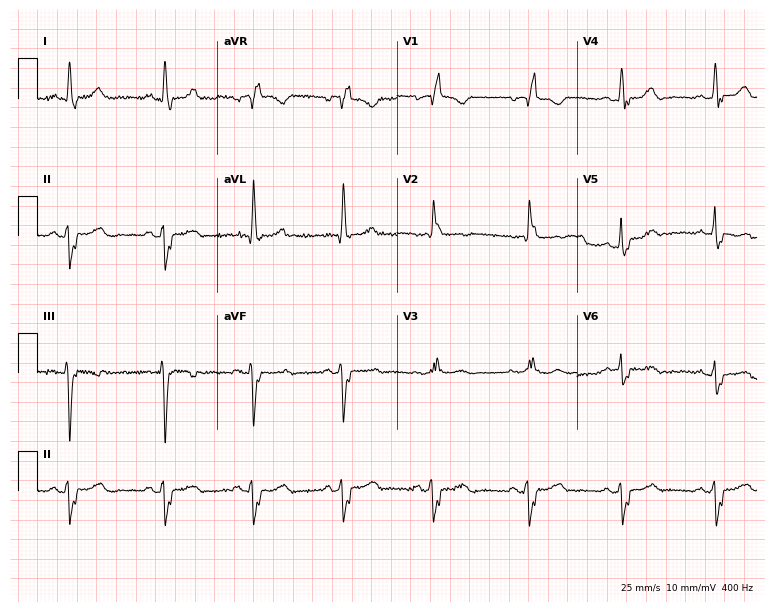
ECG (7.3-second recording at 400 Hz) — a 75-year-old woman. Findings include right bundle branch block.